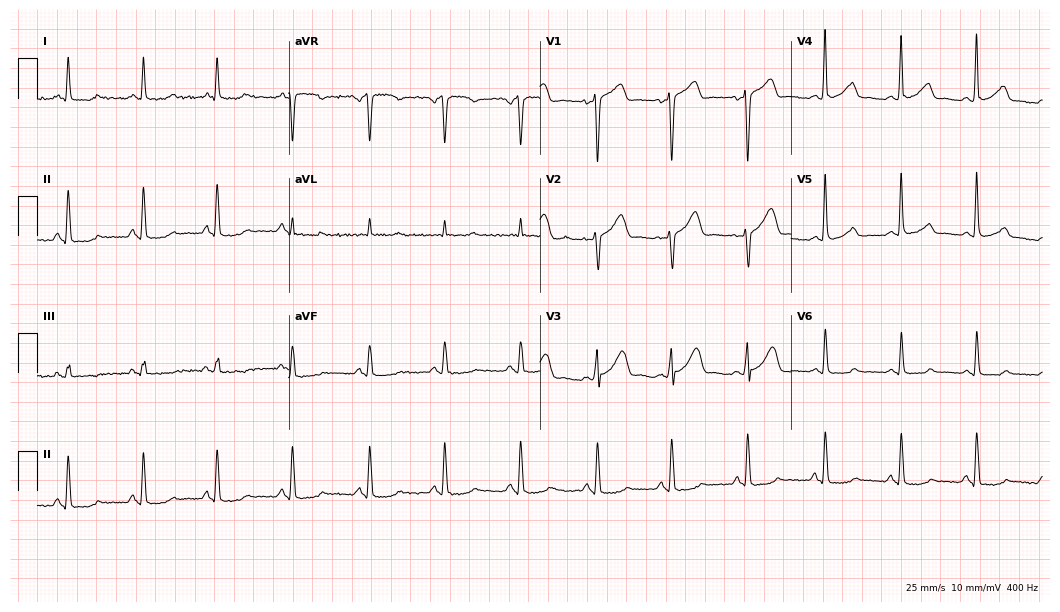
12-lead ECG from a 54-year-old woman. Screened for six findings — first-degree AV block, right bundle branch block, left bundle branch block, sinus bradycardia, atrial fibrillation, sinus tachycardia — none is recorded. Other findings, if any, are not listed.